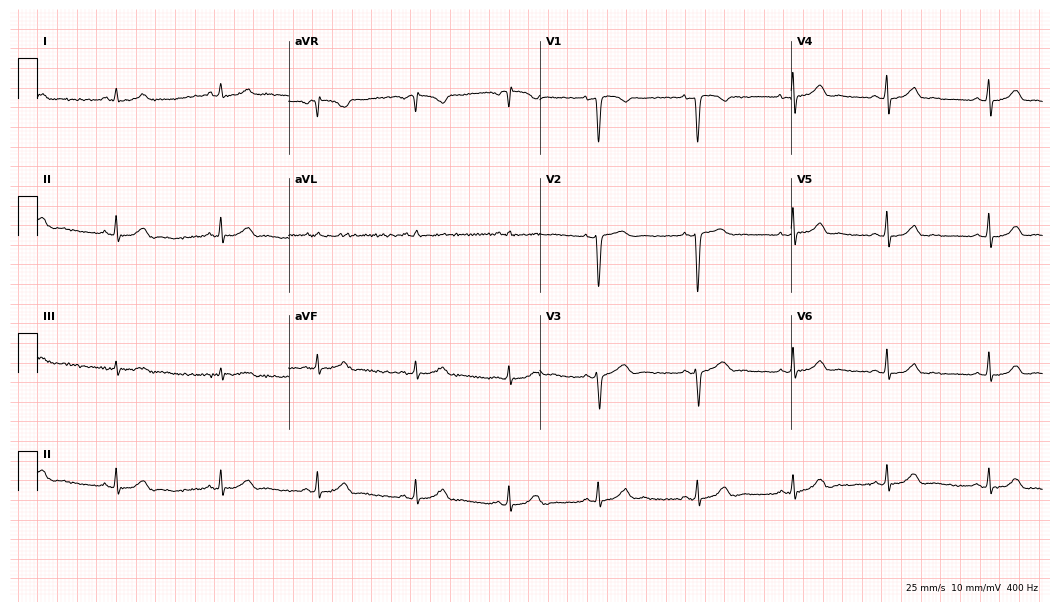
Standard 12-lead ECG recorded from a female patient, 35 years old. Read as a normal ECG.